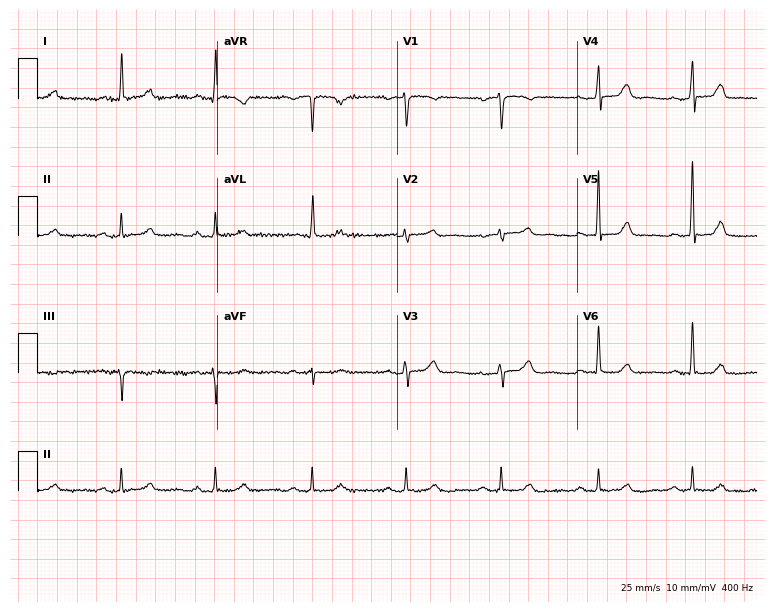
Electrocardiogram (7.3-second recording at 400 Hz), a female, 75 years old. Of the six screened findings (first-degree AV block, right bundle branch block (RBBB), left bundle branch block (LBBB), sinus bradycardia, atrial fibrillation (AF), sinus tachycardia), none is recorded. Findings outside these six are not listed.